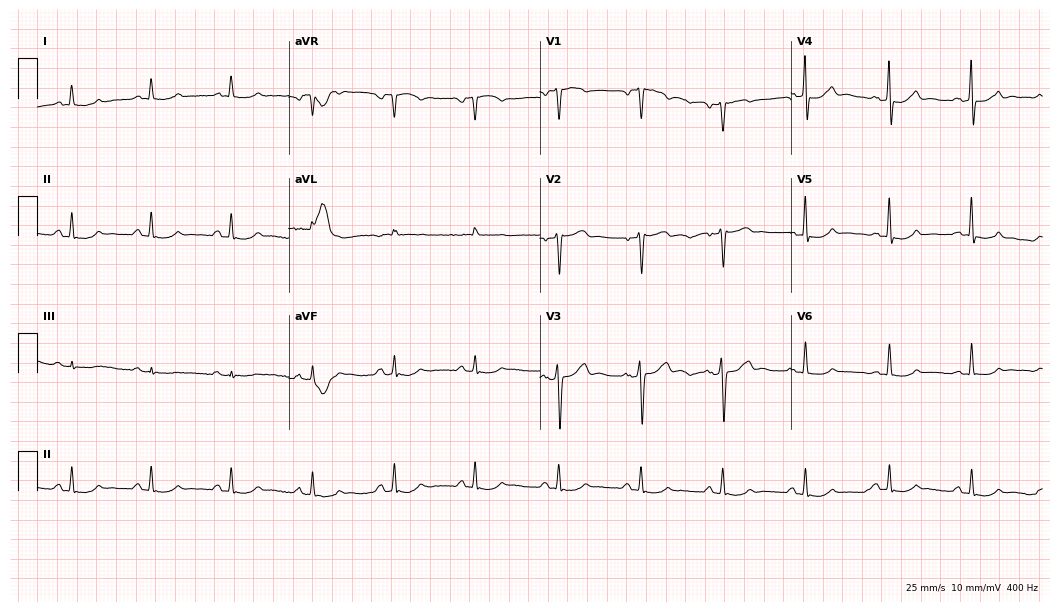
Electrocardiogram (10.2-second recording at 400 Hz), a 59-year-old man. Of the six screened findings (first-degree AV block, right bundle branch block, left bundle branch block, sinus bradycardia, atrial fibrillation, sinus tachycardia), none is recorded. Findings outside these six are not listed.